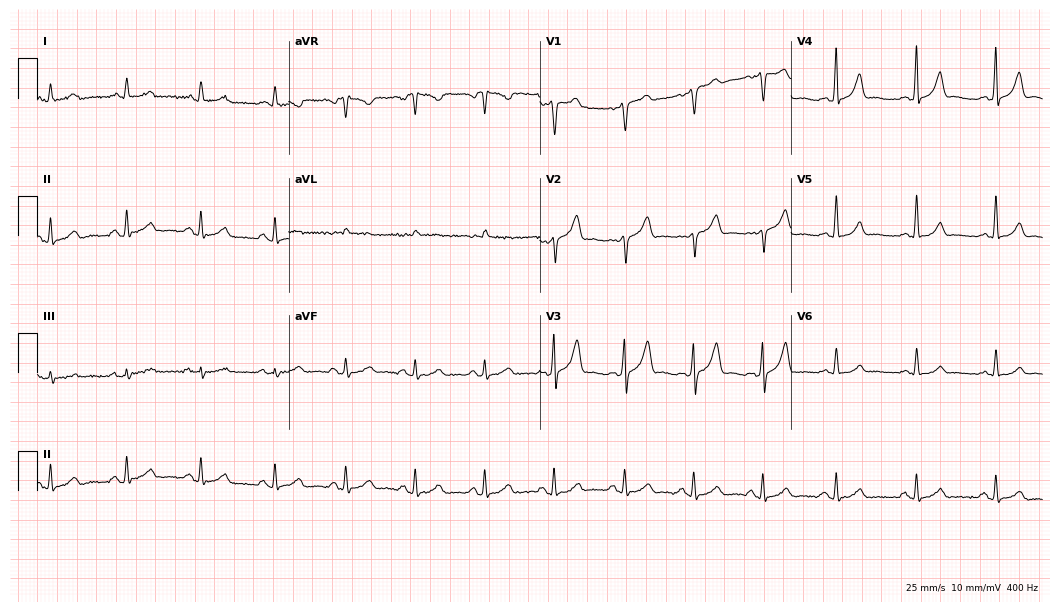
12-lead ECG (10.2-second recording at 400 Hz) from a 48-year-old female patient. Labelled as a normal ECG.